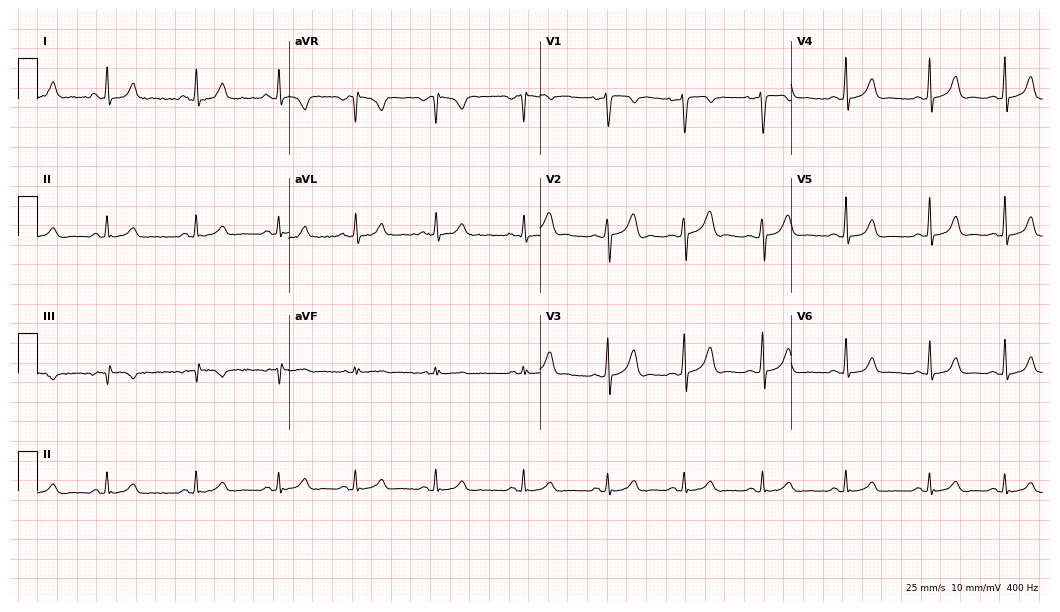
Standard 12-lead ECG recorded from a 26-year-old female patient. Read as a normal ECG.